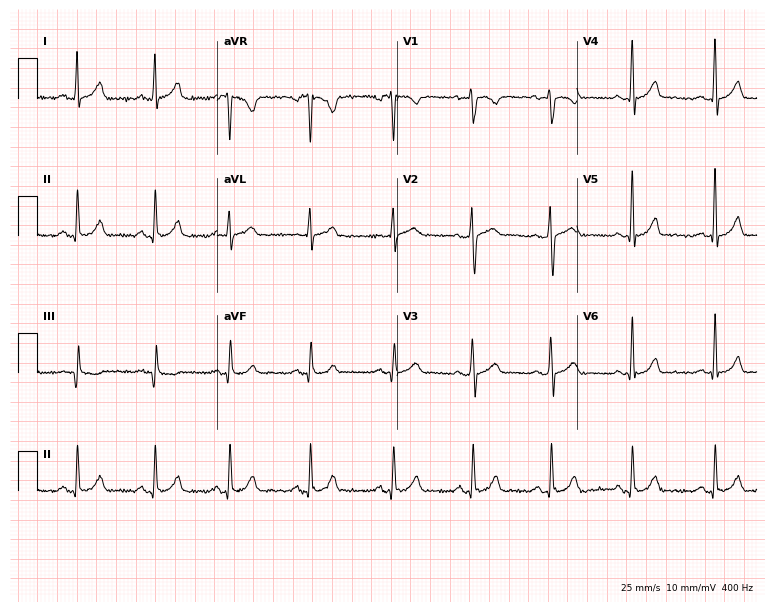
Electrocardiogram (7.3-second recording at 400 Hz), a female patient, 31 years old. Of the six screened findings (first-degree AV block, right bundle branch block (RBBB), left bundle branch block (LBBB), sinus bradycardia, atrial fibrillation (AF), sinus tachycardia), none is recorded.